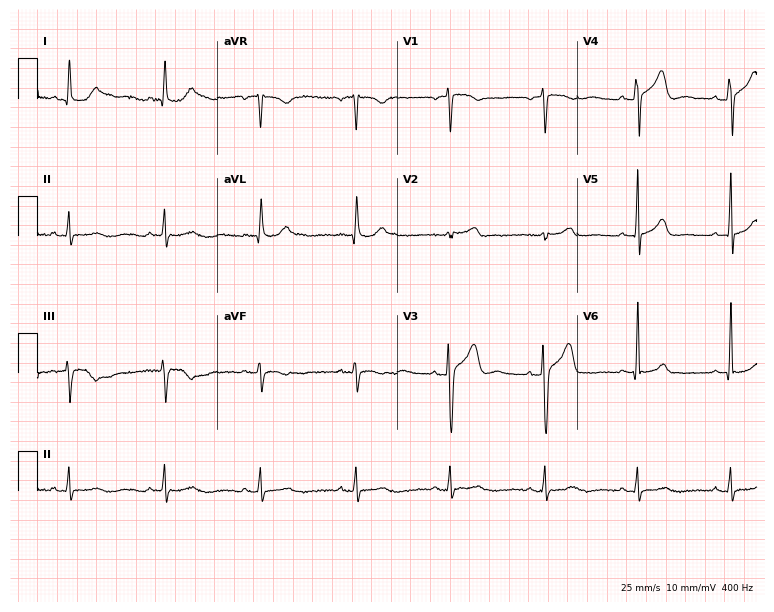
12-lead ECG from a male patient, 53 years old. Labelled as a normal ECG.